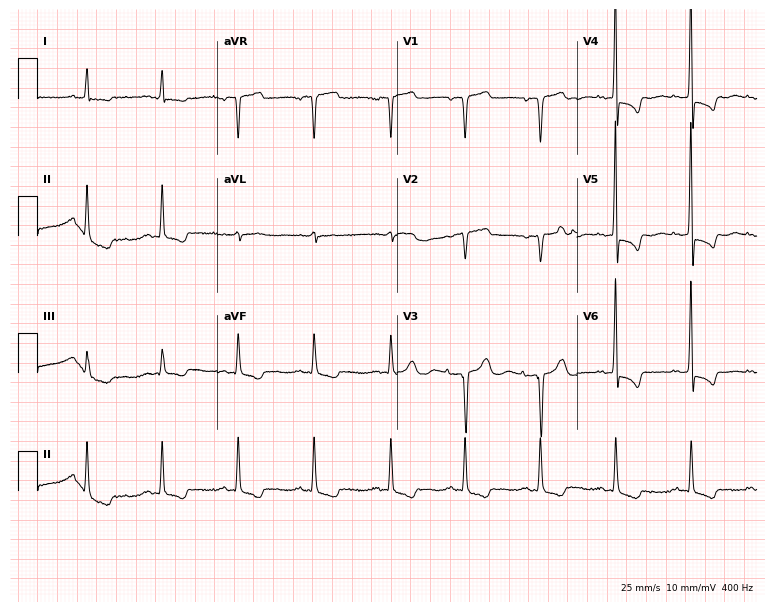
12-lead ECG from an 85-year-old female patient. No first-degree AV block, right bundle branch block, left bundle branch block, sinus bradycardia, atrial fibrillation or sinus tachycardia recorded for this tracing.